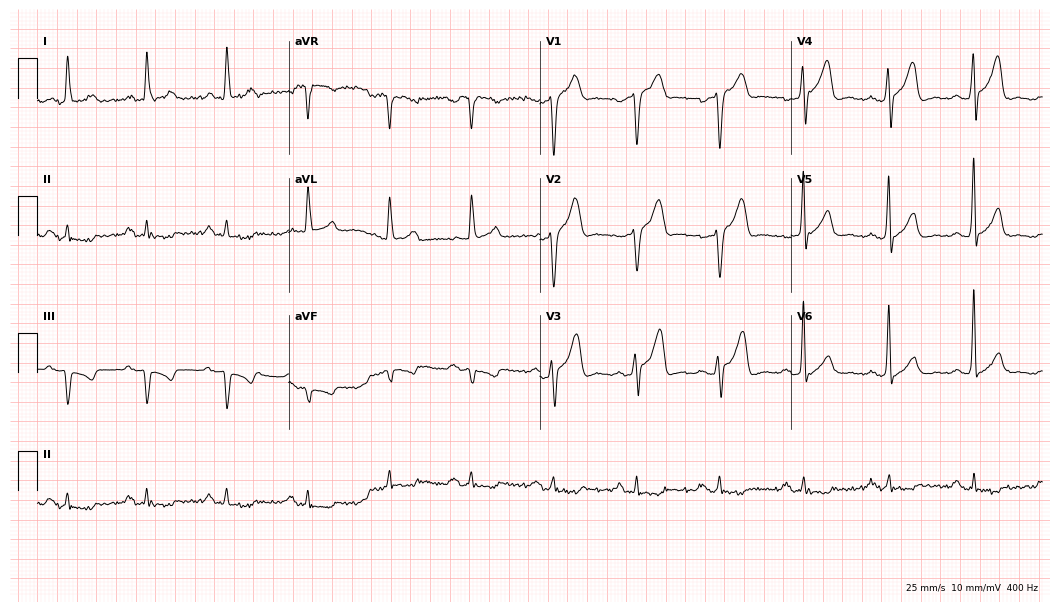
12-lead ECG from a 57-year-old man. Recorded interpretation: within normal limits.